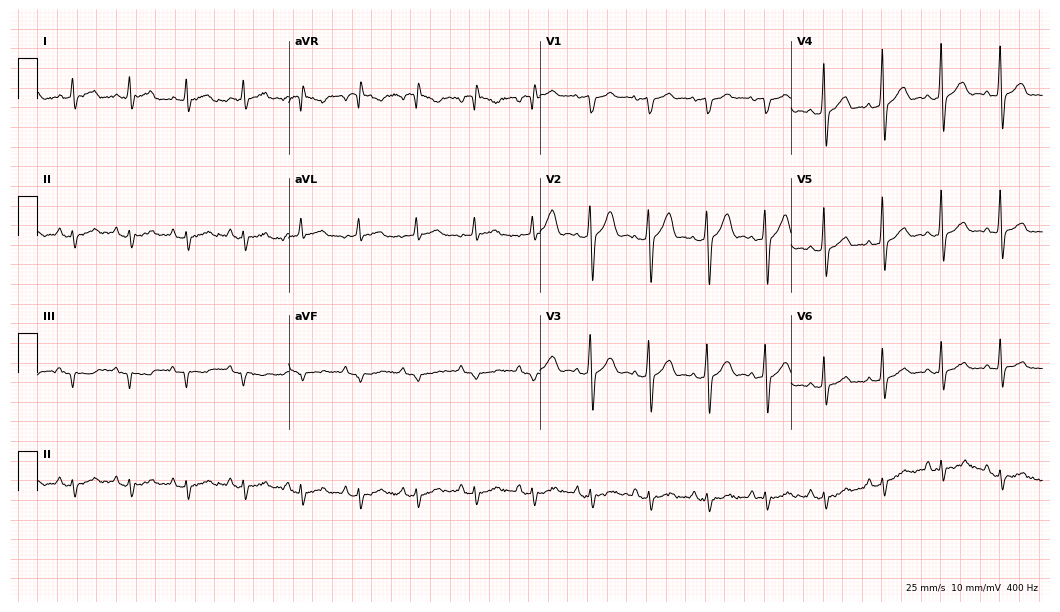
Resting 12-lead electrocardiogram. Patient: a man, 60 years old. None of these six findings is recorded: first-degree AV block, right bundle branch block, left bundle branch block, sinus bradycardia, atrial fibrillation, sinus tachycardia.